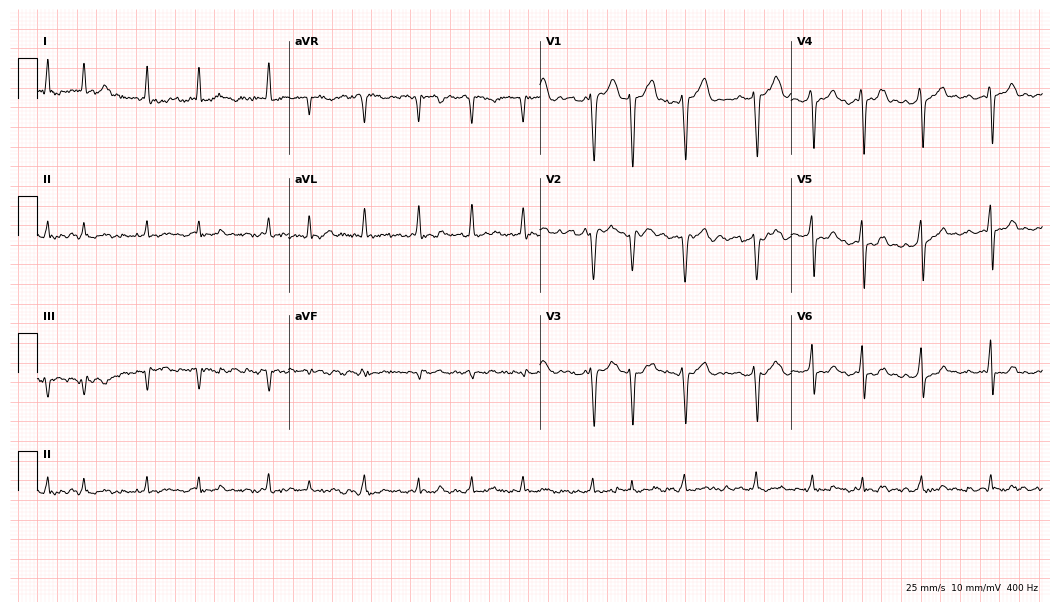
12-lead ECG from a man, 52 years old. Findings include atrial fibrillation.